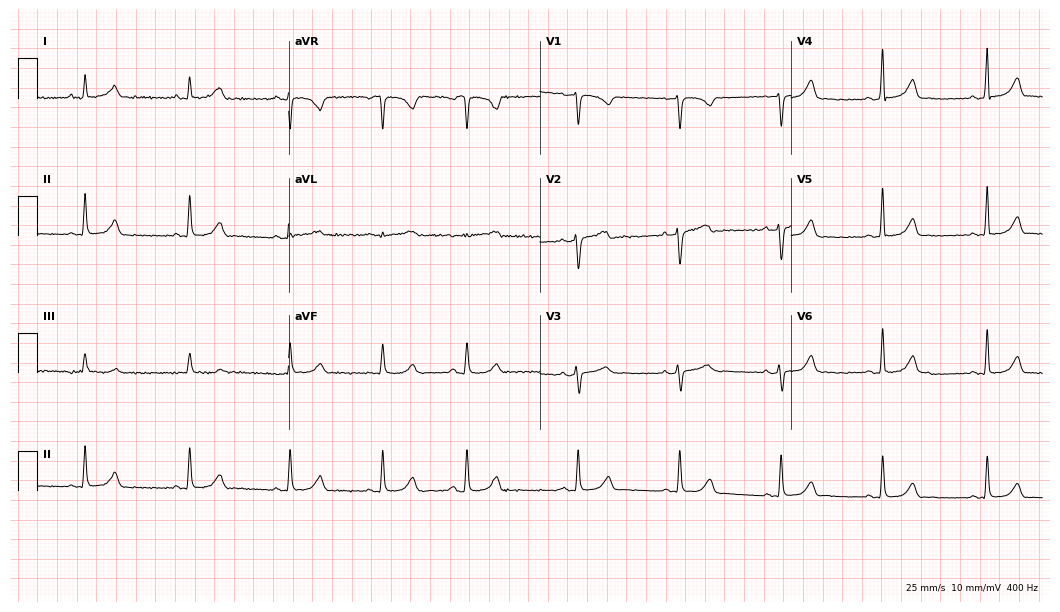
Standard 12-lead ECG recorded from a 36-year-old female. None of these six findings is recorded: first-degree AV block, right bundle branch block, left bundle branch block, sinus bradycardia, atrial fibrillation, sinus tachycardia. Only these six findings were labelled.